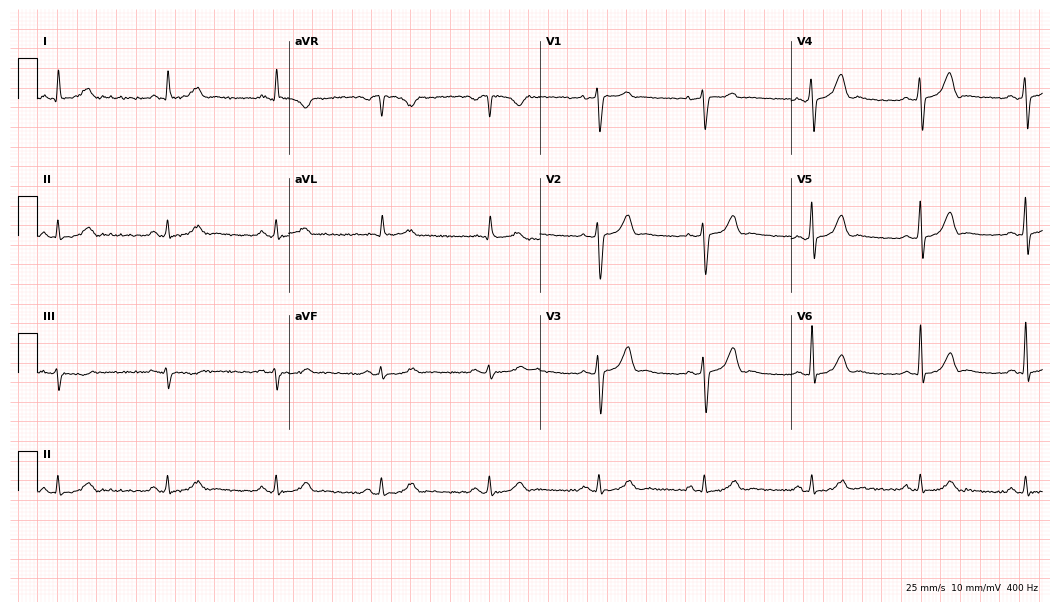
ECG — a male, 52 years old. Labelled as a normal ECG.